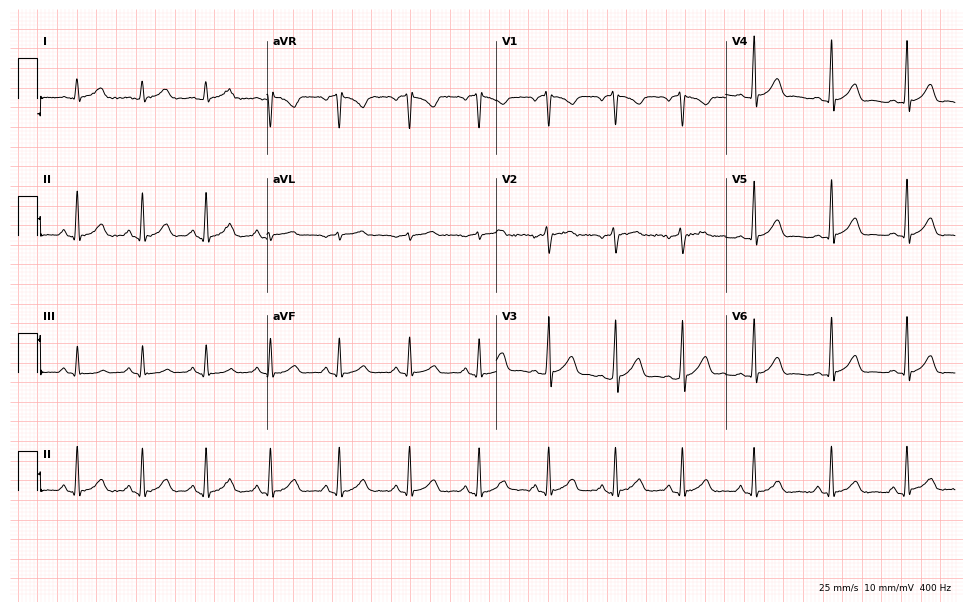
Resting 12-lead electrocardiogram (9.4-second recording at 400 Hz). Patient: a 37-year-old female. Read as a normal ECG.